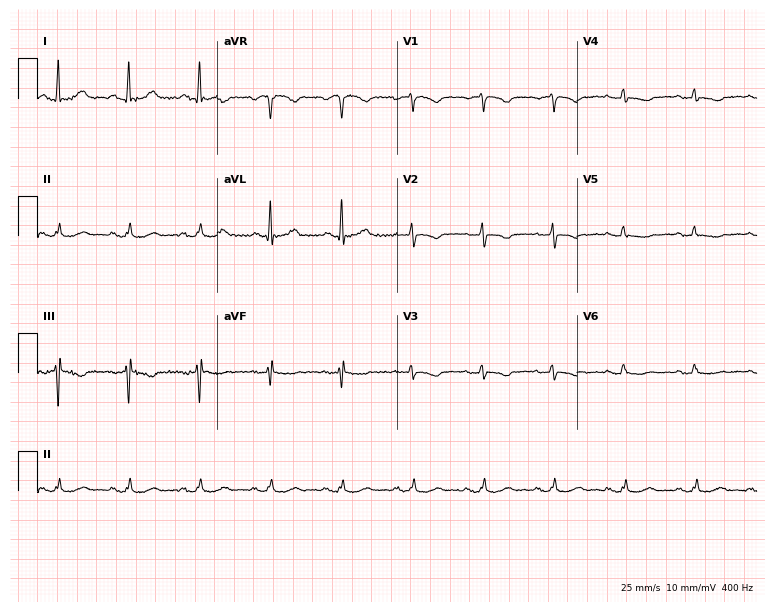
ECG (7.3-second recording at 400 Hz) — a 54-year-old woman. Labelled as a normal ECG.